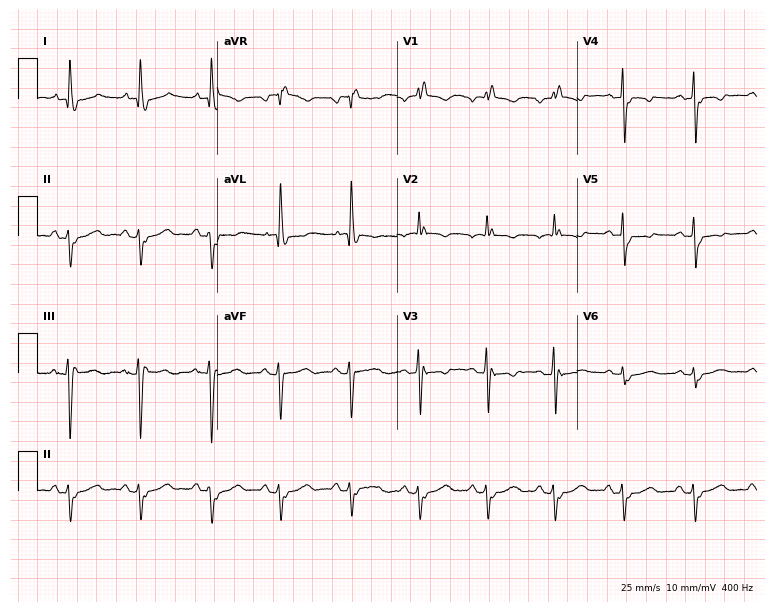
12-lead ECG from a female patient, 82 years old. Findings include right bundle branch block (RBBB), left bundle branch block (LBBB).